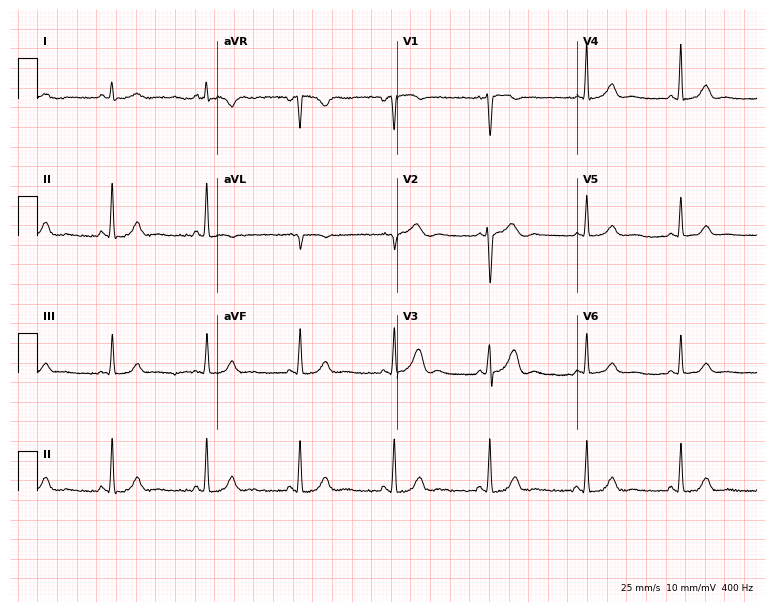
Resting 12-lead electrocardiogram. Patient: a 28-year-old female. Read as a normal ECG.